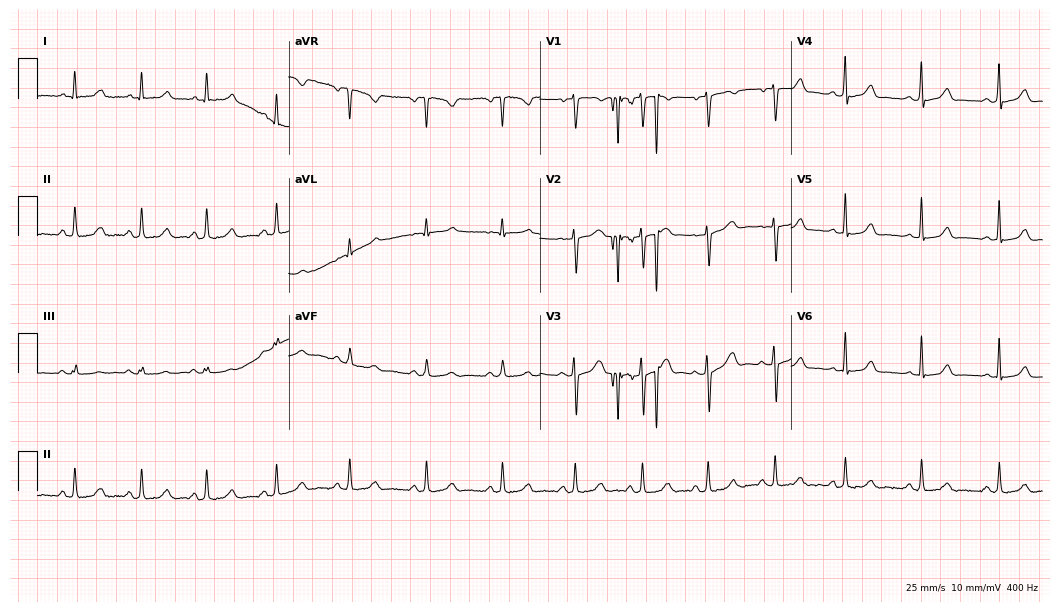
12-lead ECG from a female, 18 years old. No first-degree AV block, right bundle branch block, left bundle branch block, sinus bradycardia, atrial fibrillation or sinus tachycardia recorded for this tracing.